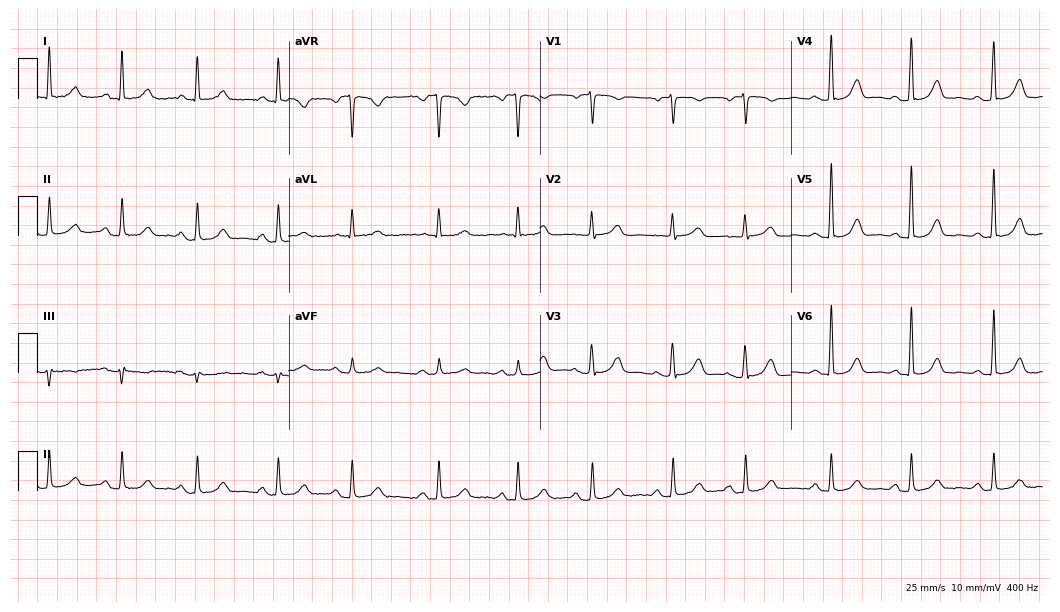
Electrocardiogram, a man, 71 years old. Overall reading on record: normal ECG.